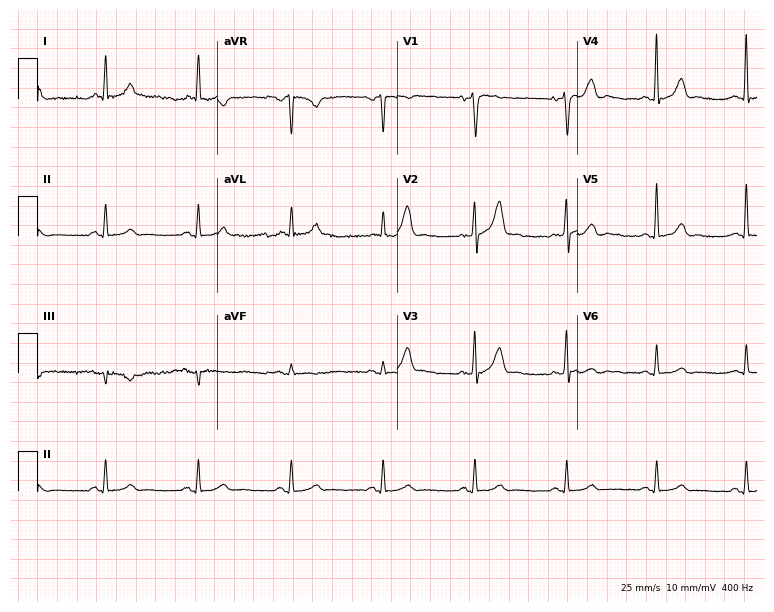
Electrocardiogram (7.3-second recording at 400 Hz), a male patient, 41 years old. Of the six screened findings (first-degree AV block, right bundle branch block (RBBB), left bundle branch block (LBBB), sinus bradycardia, atrial fibrillation (AF), sinus tachycardia), none is recorded. Only these six findings were labelled.